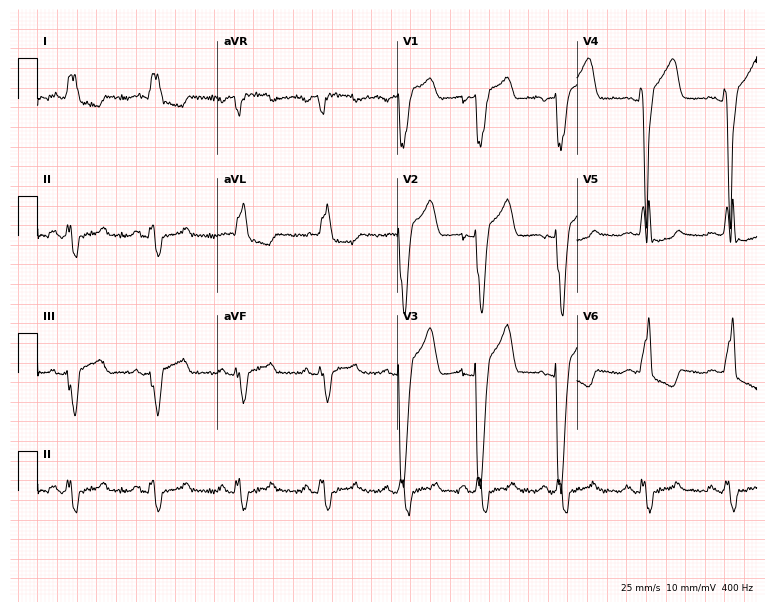
12-lead ECG (7.3-second recording at 400 Hz) from a female, 72 years old. Findings include left bundle branch block.